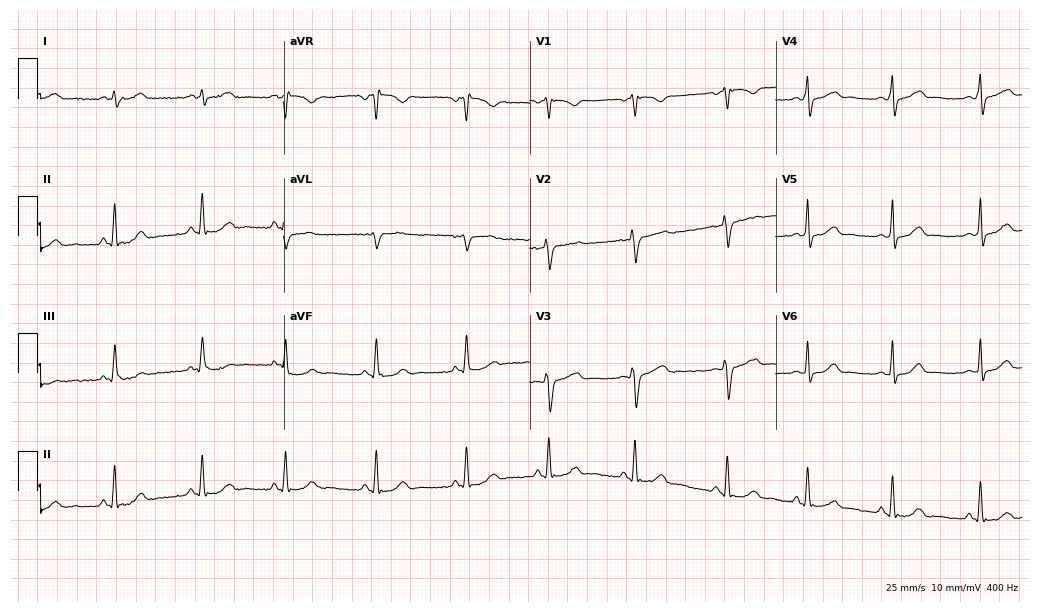
12-lead ECG from a 21-year-old female (10-second recording at 400 Hz). No first-degree AV block, right bundle branch block, left bundle branch block, sinus bradycardia, atrial fibrillation or sinus tachycardia recorded for this tracing.